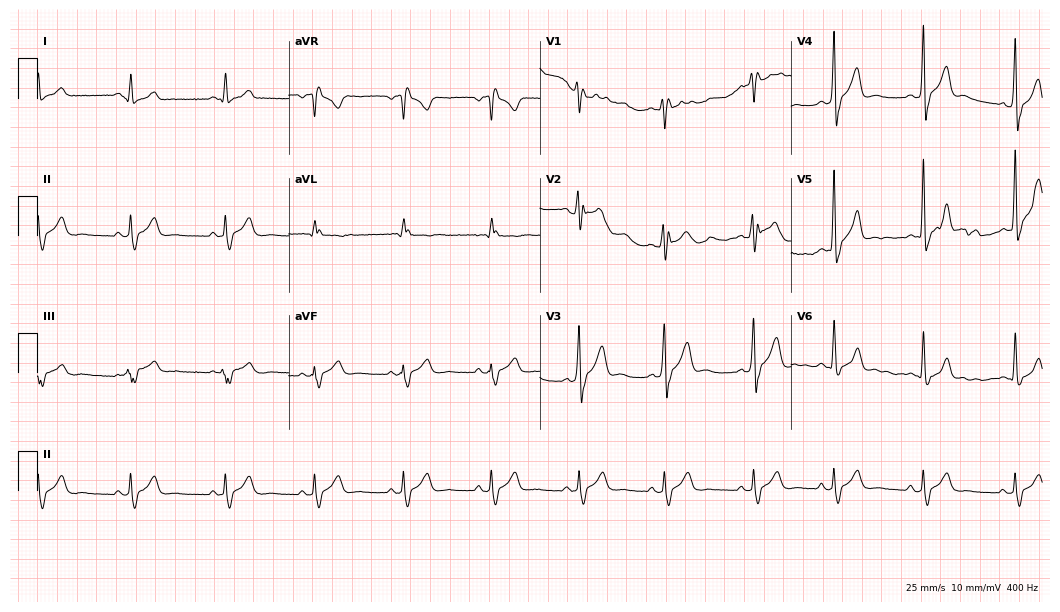
ECG — a male, 17 years old. Screened for six findings — first-degree AV block, right bundle branch block, left bundle branch block, sinus bradycardia, atrial fibrillation, sinus tachycardia — none is recorded.